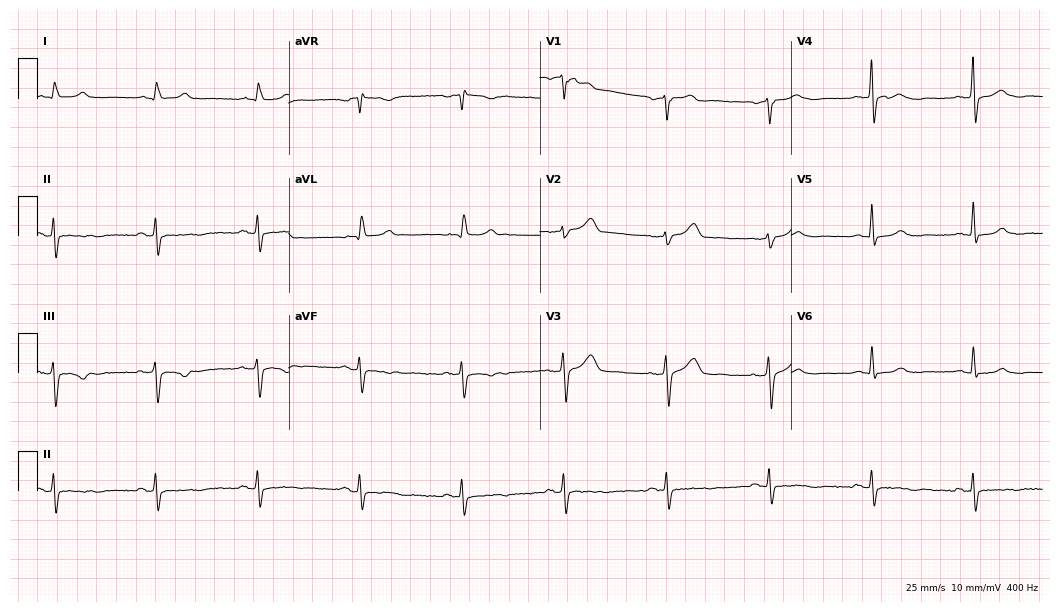
Standard 12-lead ECG recorded from a man, 84 years old. None of these six findings is recorded: first-degree AV block, right bundle branch block, left bundle branch block, sinus bradycardia, atrial fibrillation, sinus tachycardia. Findings outside these six are not listed.